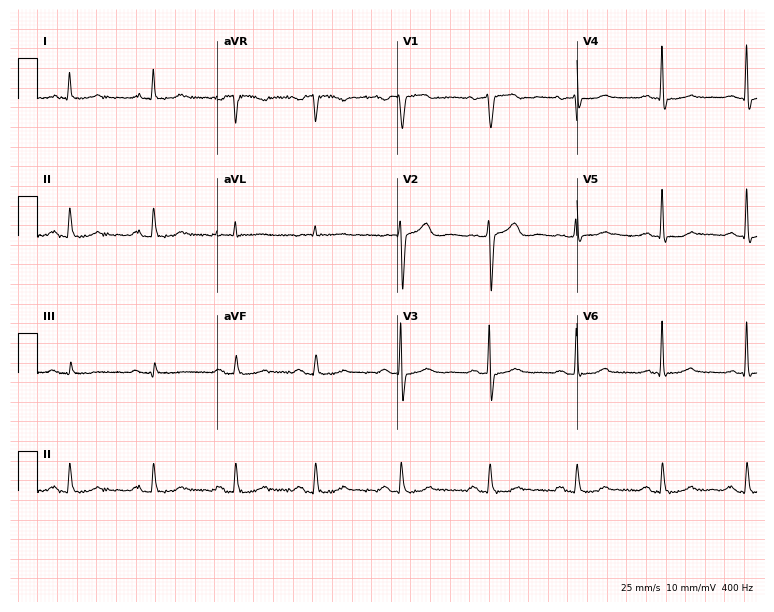
Resting 12-lead electrocardiogram. Patient: a female, 50 years old. None of these six findings is recorded: first-degree AV block, right bundle branch block (RBBB), left bundle branch block (LBBB), sinus bradycardia, atrial fibrillation (AF), sinus tachycardia.